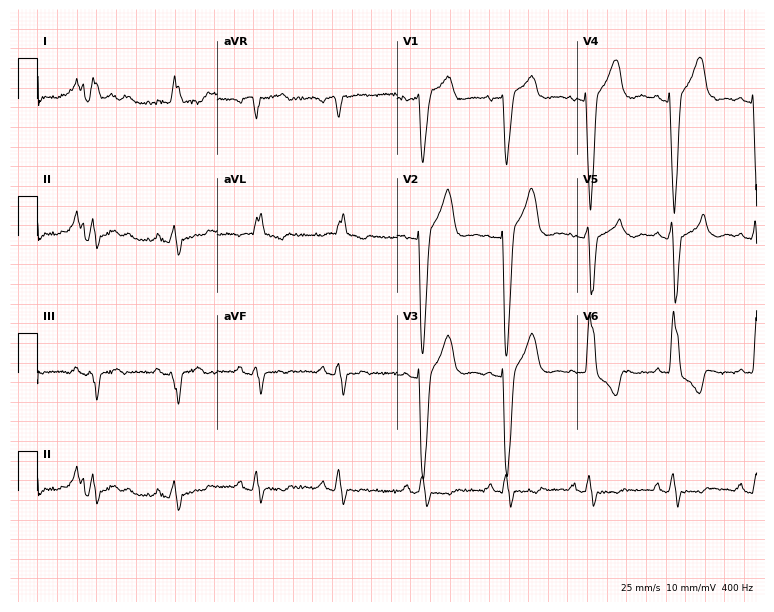
Resting 12-lead electrocardiogram (7.3-second recording at 400 Hz). Patient: a male, 80 years old. The tracing shows left bundle branch block.